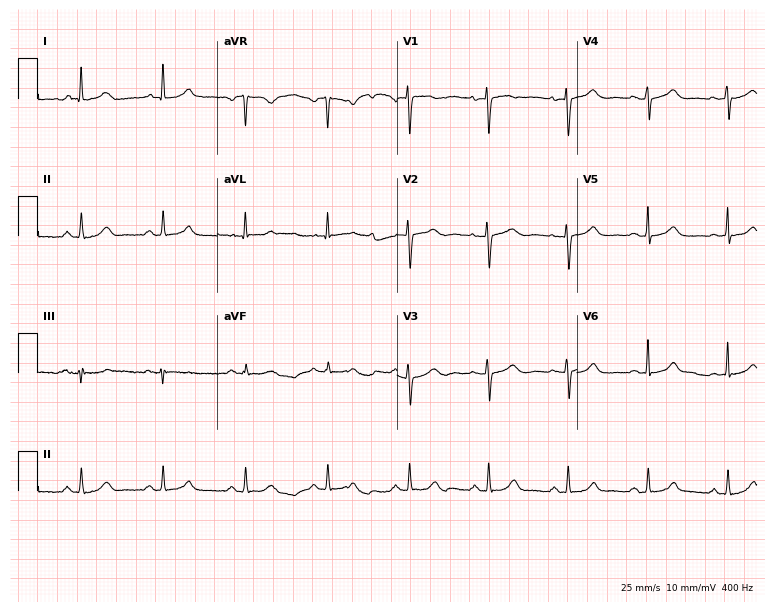
Standard 12-lead ECG recorded from a woman, 53 years old (7.3-second recording at 400 Hz). None of these six findings is recorded: first-degree AV block, right bundle branch block (RBBB), left bundle branch block (LBBB), sinus bradycardia, atrial fibrillation (AF), sinus tachycardia.